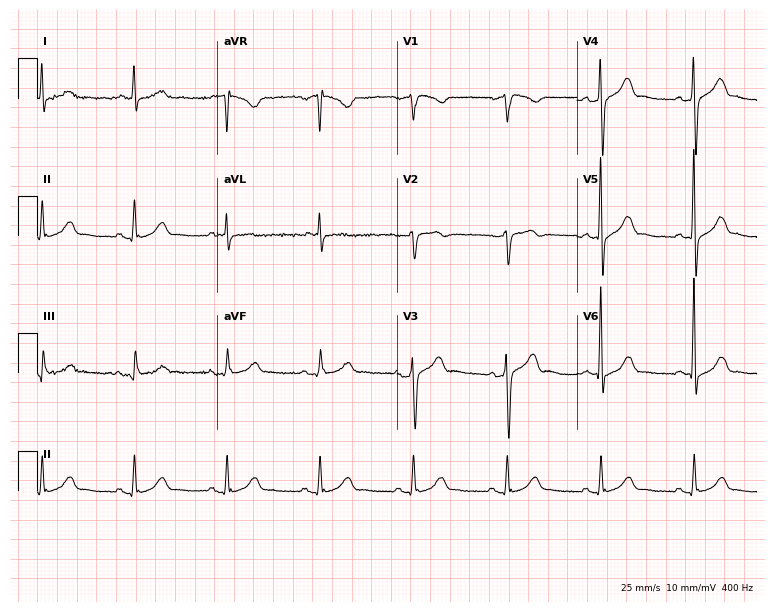
Standard 12-lead ECG recorded from a male, 67 years old. Read as a normal ECG.